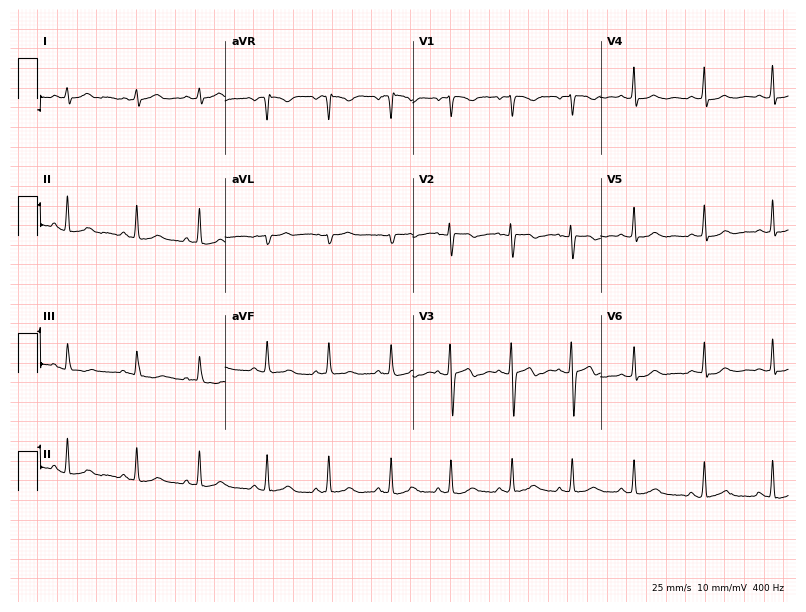
Resting 12-lead electrocardiogram. Patient: a 17-year-old female. Read as a normal ECG.